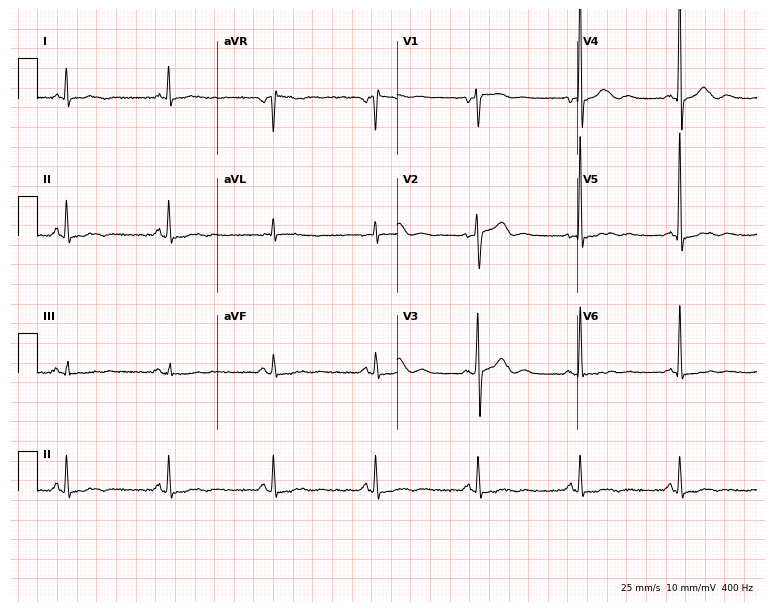
Standard 12-lead ECG recorded from a male patient, 66 years old. None of these six findings is recorded: first-degree AV block, right bundle branch block (RBBB), left bundle branch block (LBBB), sinus bradycardia, atrial fibrillation (AF), sinus tachycardia. Findings outside these six are not listed.